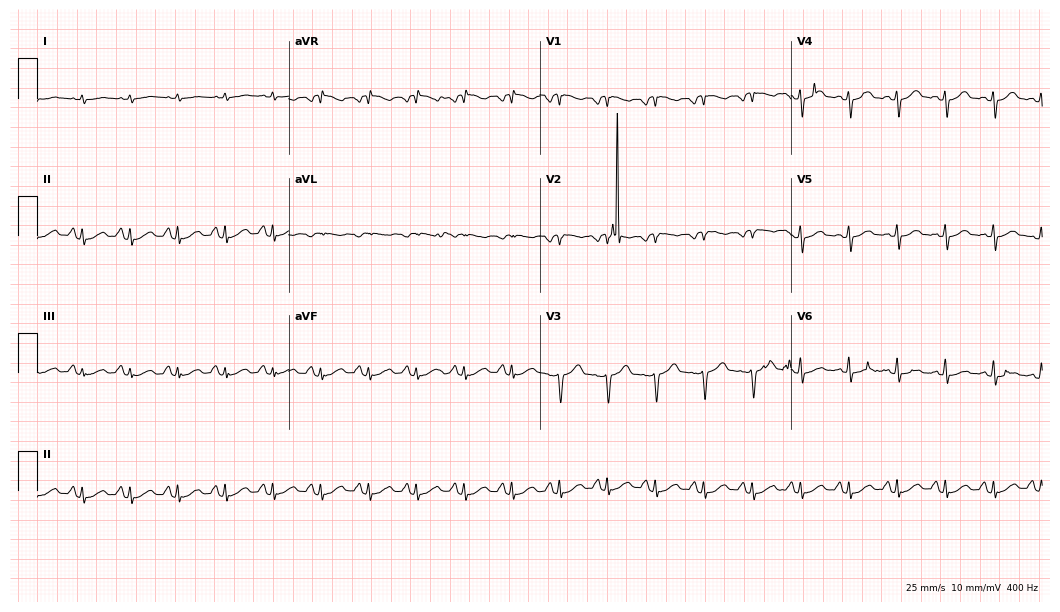
Standard 12-lead ECG recorded from a 56-year-old man. None of these six findings is recorded: first-degree AV block, right bundle branch block, left bundle branch block, sinus bradycardia, atrial fibrillation, sinus tachycardia.